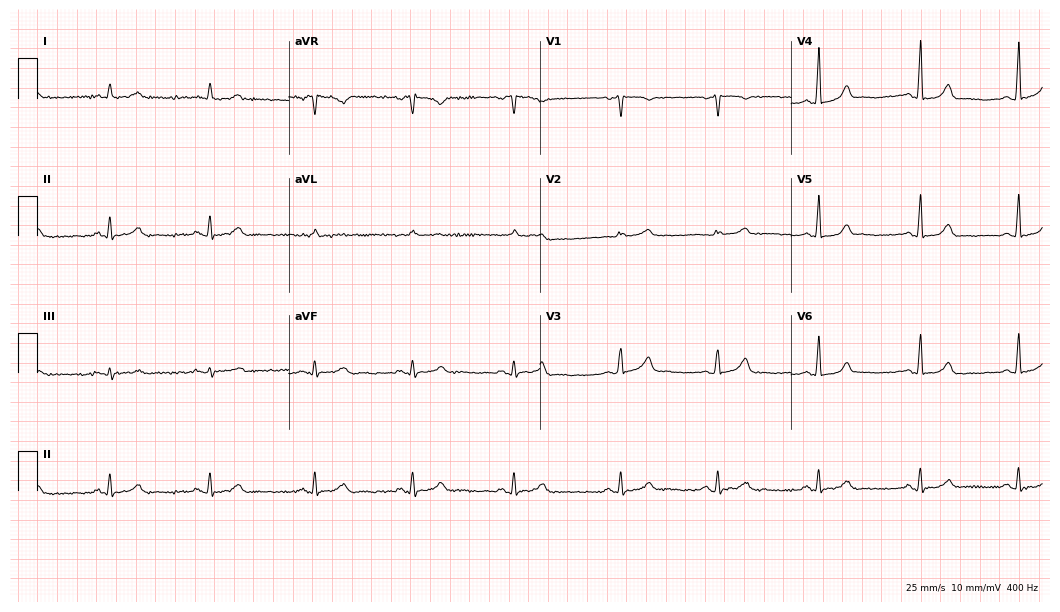
12-lead ECG from a 43-year-old female patient. Recorded interpretation: within normal limits.